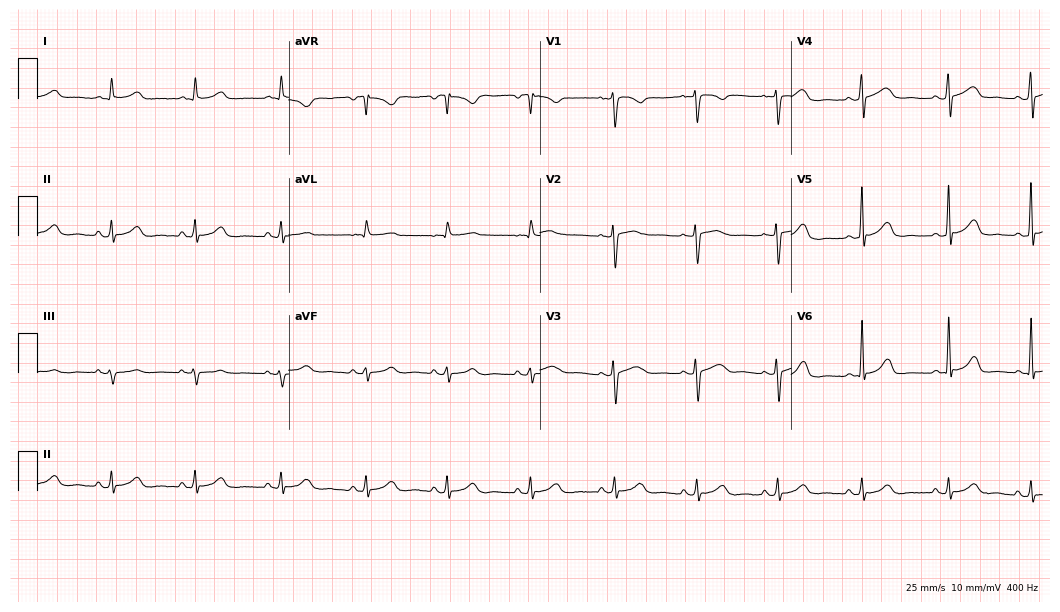
ECG — a 51-year-old female patient. Labelled as a normal ECG.